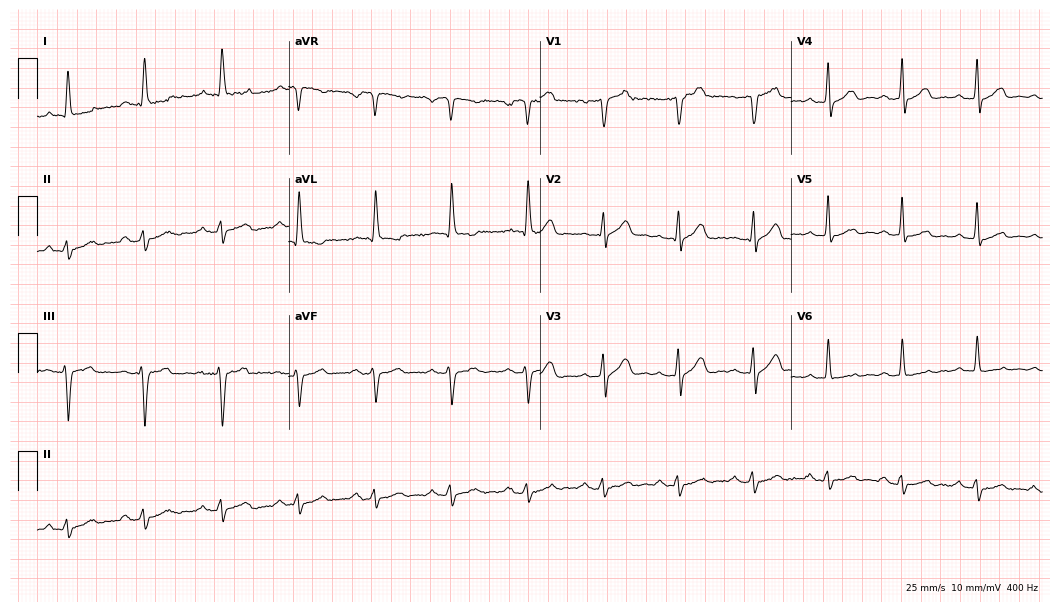
ECG (10.2-second recording at 400 Hz) — a male, 70 years old. Screened for six findings — first-degree AV block, right bundle branch block (RBBB), left bundle branch block (LBBB), sinus bradycardia, atrial fibrillation (AF), sinus tachycardia — none is recorded. Findings outside these six are not listed.